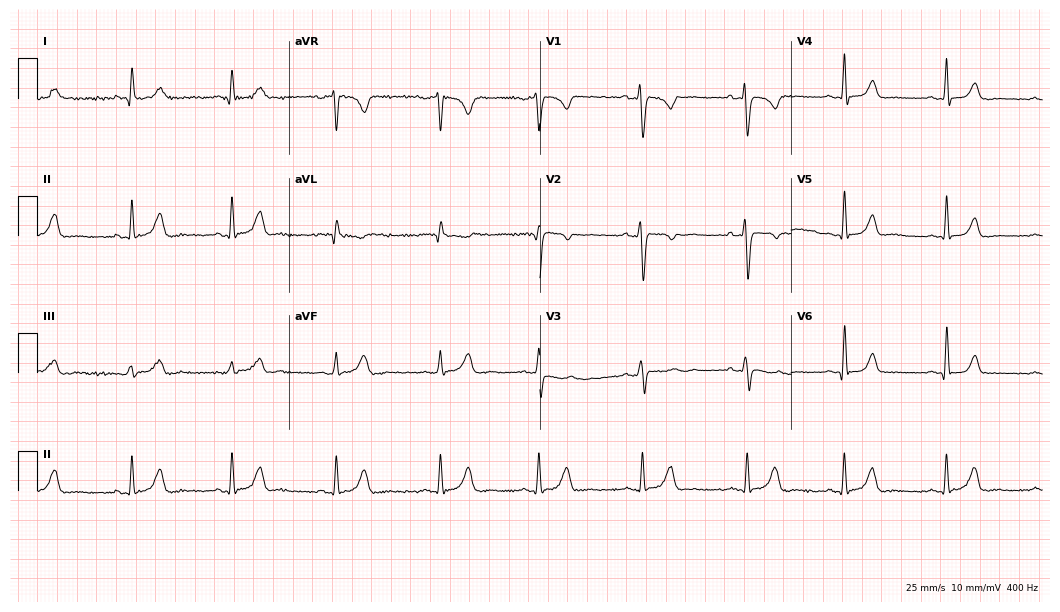
Standard 12-lead ECG recorded from a female, 51 years old. None of these six findings is recorded: first-degree AV block, right bundle branch block, left bundle branch block, sinus bradycardia, atrial fibrillation, sinus tachycardia.